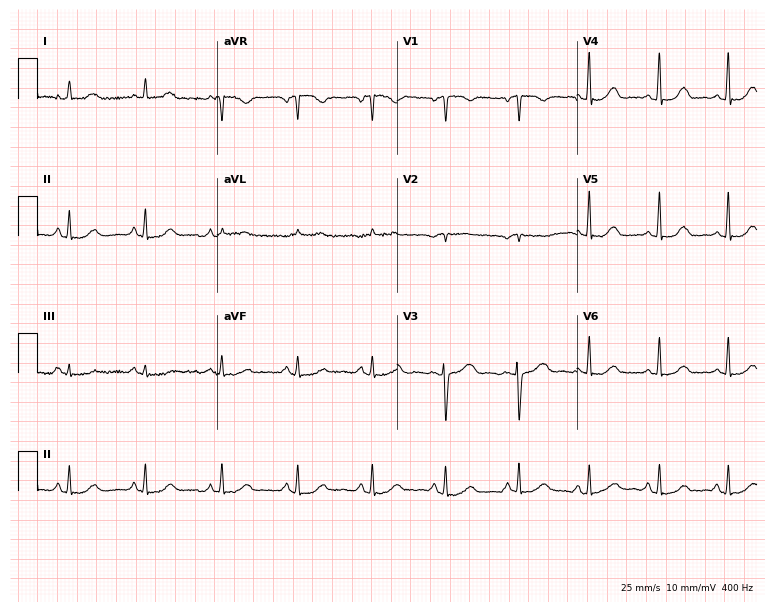
12-lead ECG (7.3-second recording at 400 Hz) from a female patient, 50 years old. Screened for six findings — first-degree AV block, right bundle branch block (RBBB), left bundle branch block (LBBB), sinus bradycardia, atrial fibrillation (AF), sinus tachycardia — none is recorded. Other findings, if any, are not listed.